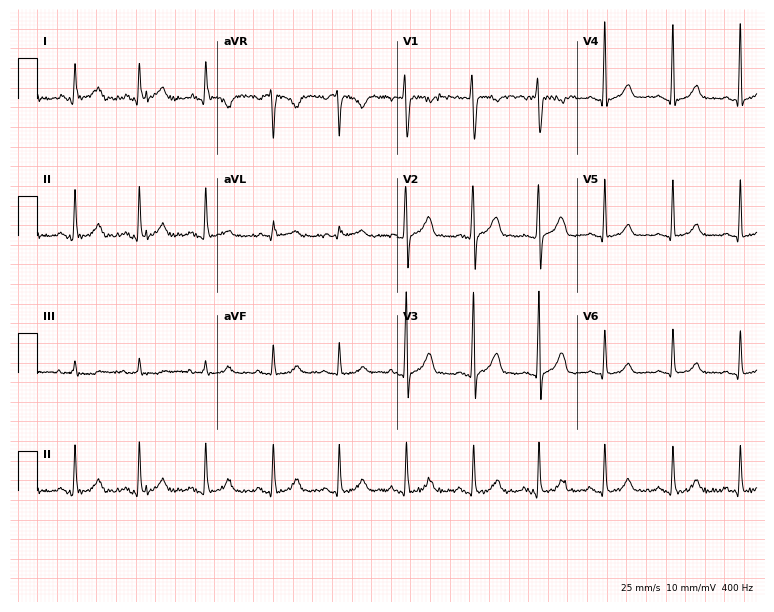
Electrocardiogram (7.3-second recording at 400 Hz), a woman, 17 years old. Overall reading on record: normal ECG.